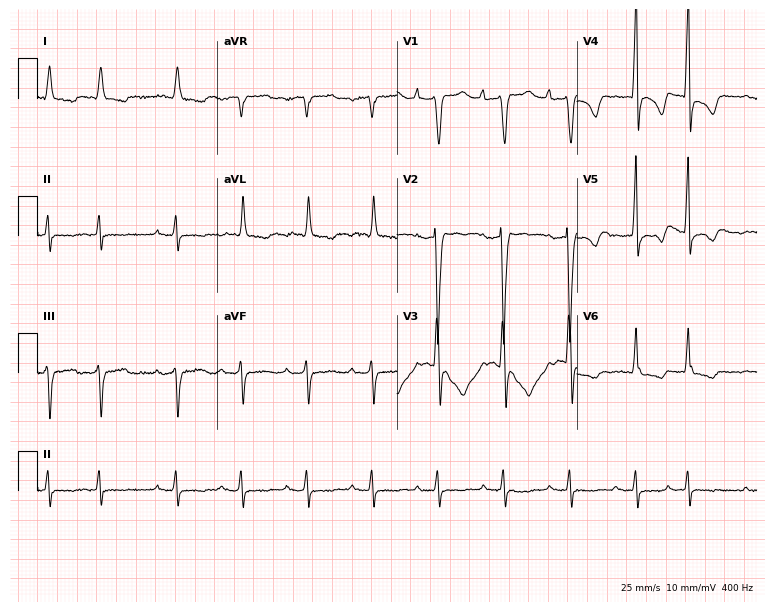
Standard 12-lead ECG recorded from a 72-year-old male patient (7.3-second recording at 400 Hz). None of these six findings is recorded: first-degree AV block, right bundle branch block (RBBB), left bundle branch block (LBBB), sinus bradycardia, atrial fibrillation (AF), sinus tachycardia. Findings outside these six are not listed.